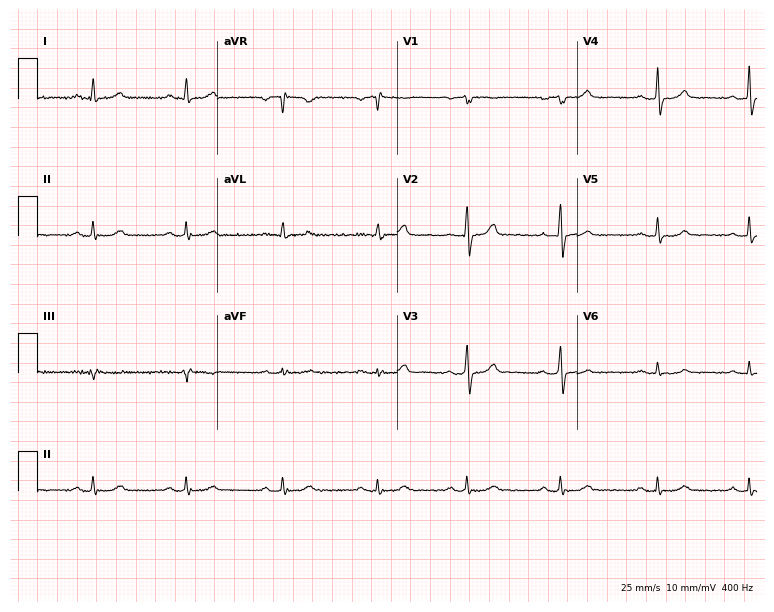
Electrocardiogram, a 48-year-old female patient. Overall reading on record: normal ECG.